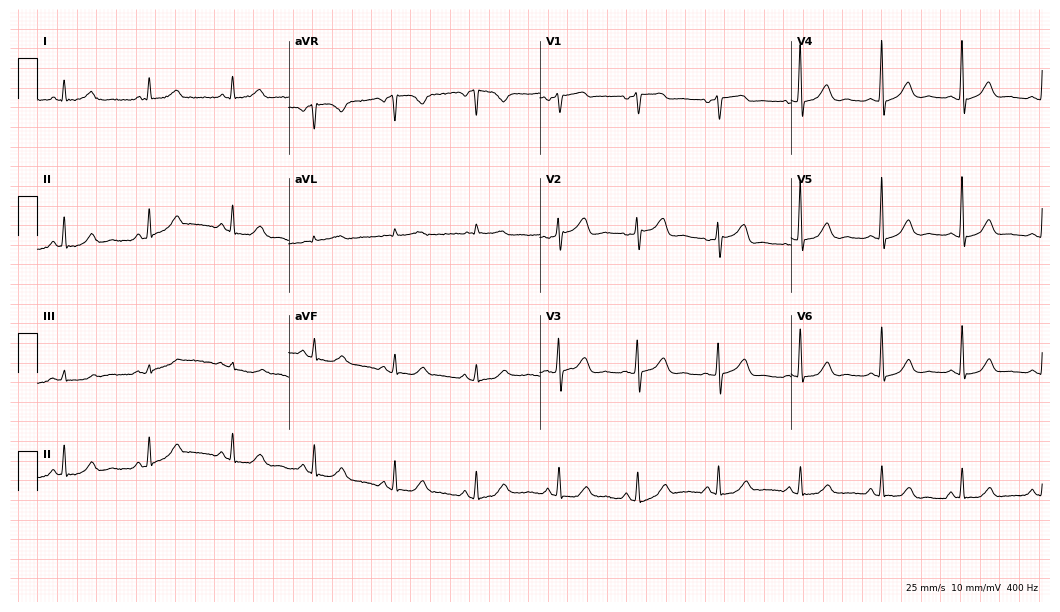
Electrocardiogram (10.2-second recording at 400 Hz), a female, 76 years old. Of the six screened findings (first-degree AV block, right bundle branch block (RBBB), left bundle branch block (LBBB), sinus bradycardia, atrial fibrillation (AF), sinus tachycardia), none is recorded.